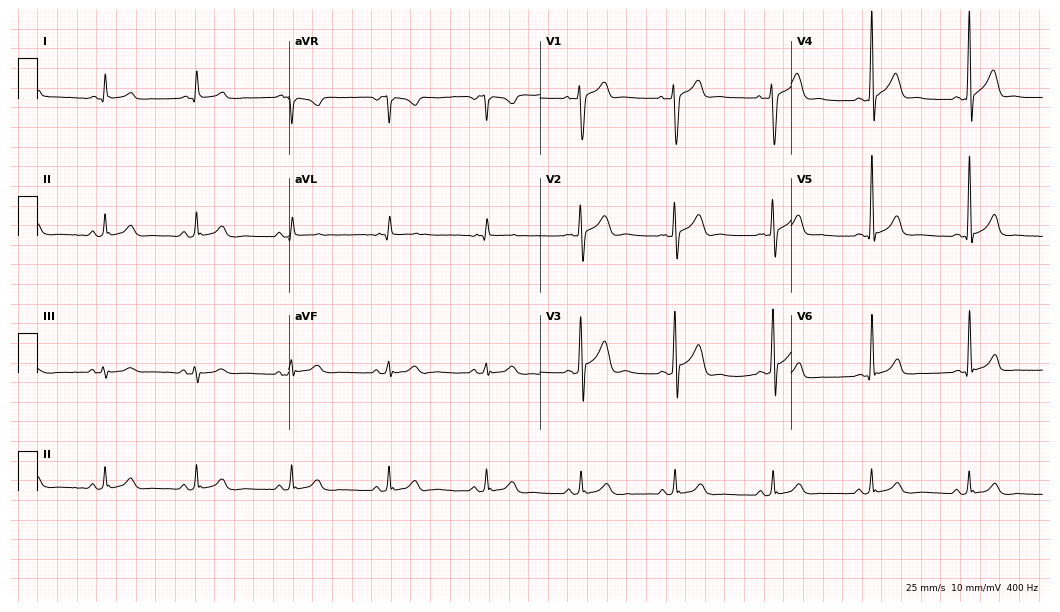
ECG — a 32-year-old man. Labelled as a normal ECG.